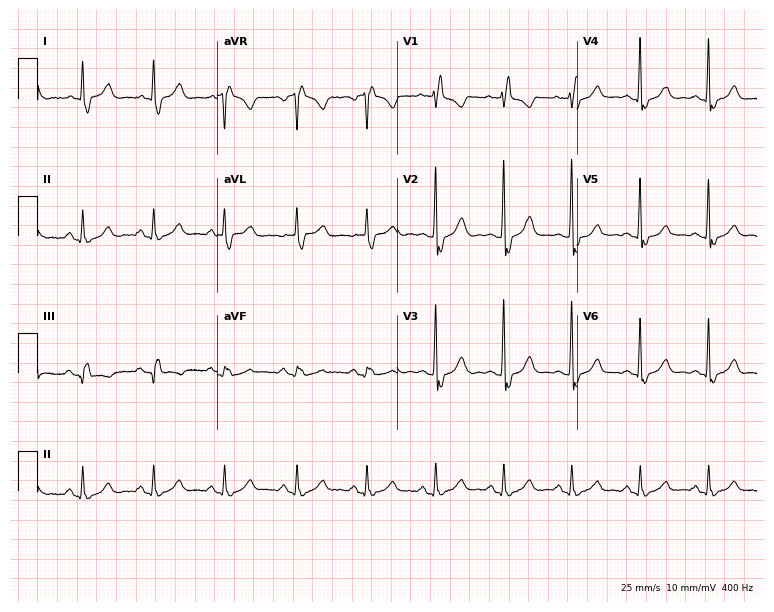
12-lead ECG from a 63-year-old woman (7.3-second recording at 400 Hz). Shows right bundle branch block.